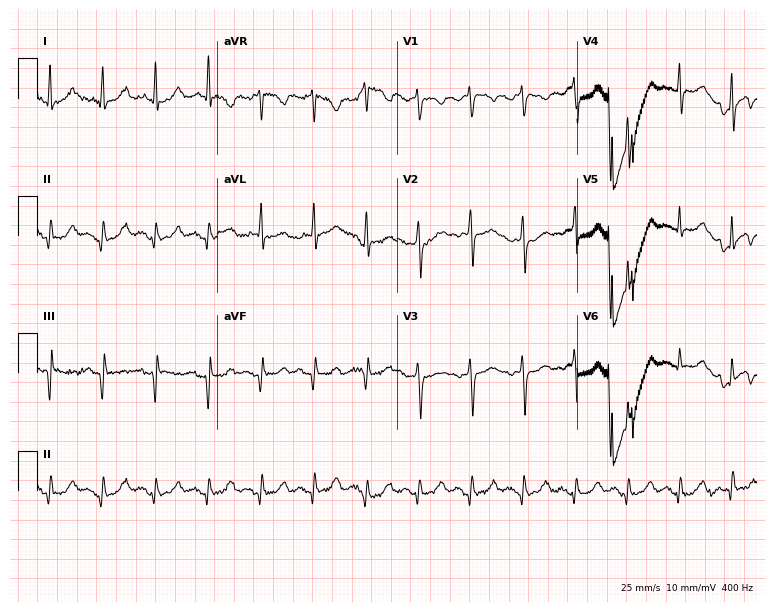
ECG (7.3-second recording at 400 Hz) — a woman, 52 years old. Screened for six findings — first-degree AV block, right bundle branch block (RBBB), left bundle branch block (LBBB), sinus bradycardia, atrial fibrillation (AF), sinus tachycardia — none is recorded. Only these six findings were labelled.